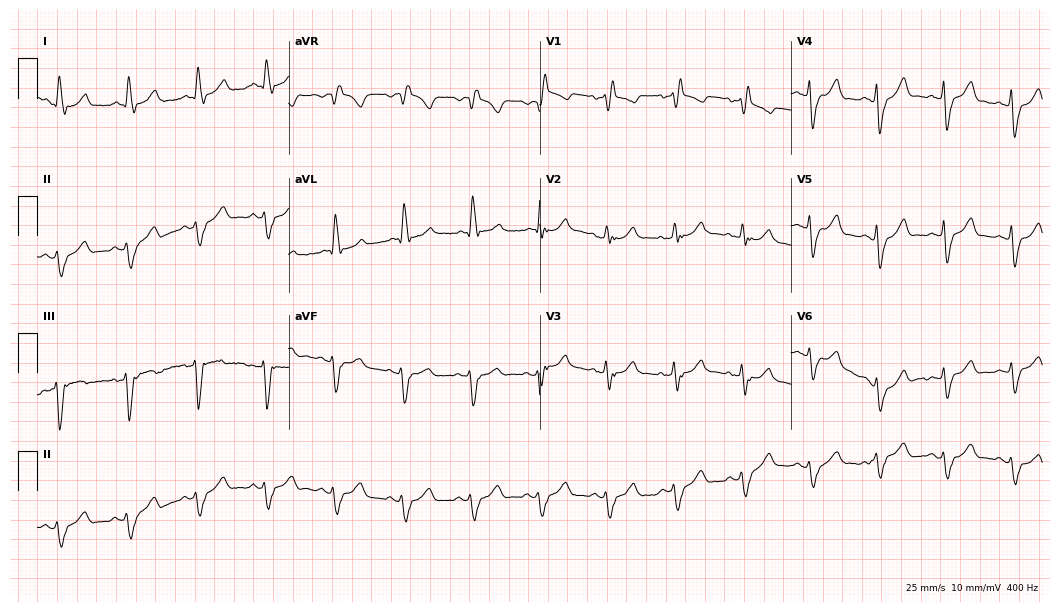
Resting 12-lead electrocardiogram. Patient: a woman, 77 years old. The tracing shows right bundle branch block.